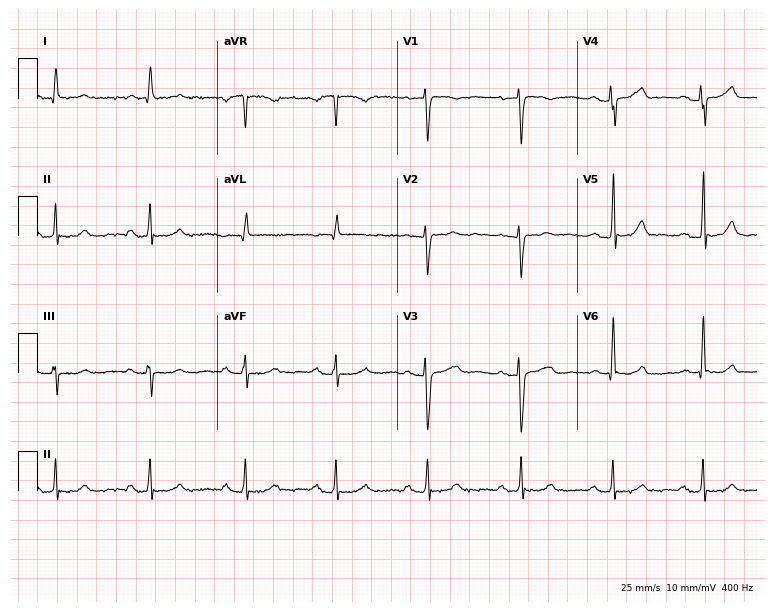
Electrocardiogram, a 52-year-old female. Overall reading on record: normal ECG.